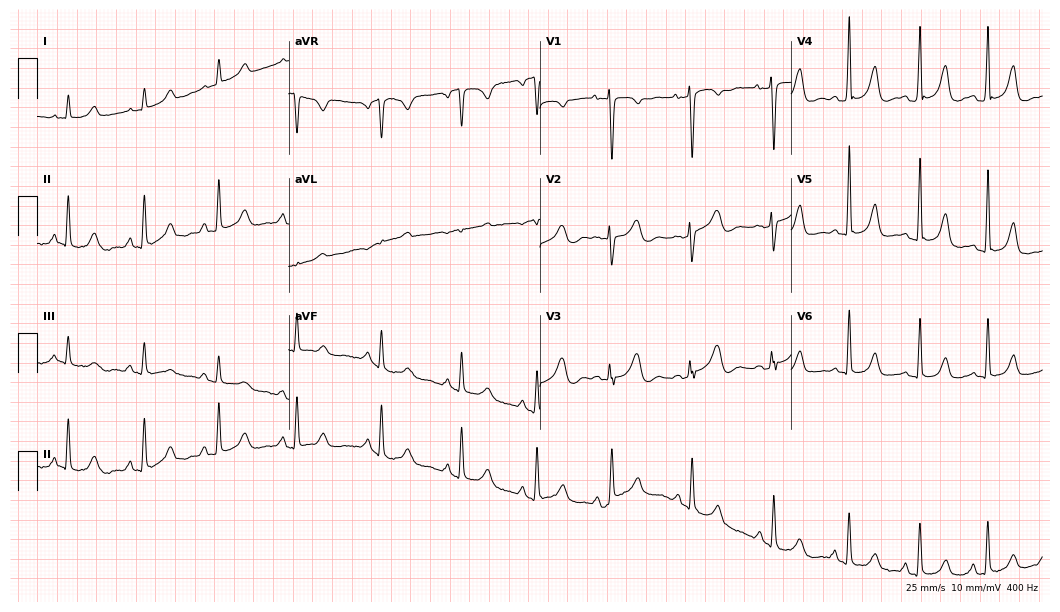
12-lead ECG from a 26-year-old female. Labelled as a normal ECG.